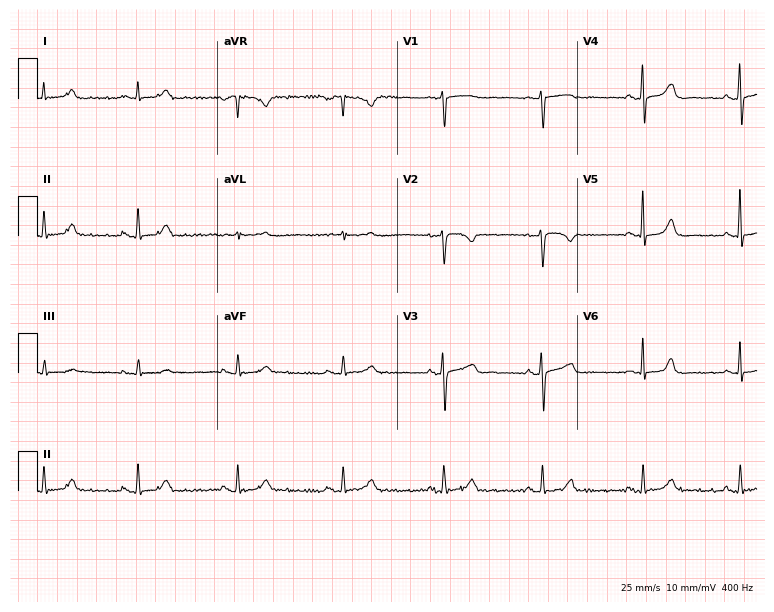
12-lead ECG from a female, 49 years old. No first-degree AV block, right bundle branch block (RBBB), left bundle branch block (LBBB), sinus bradycardia, atrial fibrillation (AF) or sinus tachycardia recorded for this tracing.